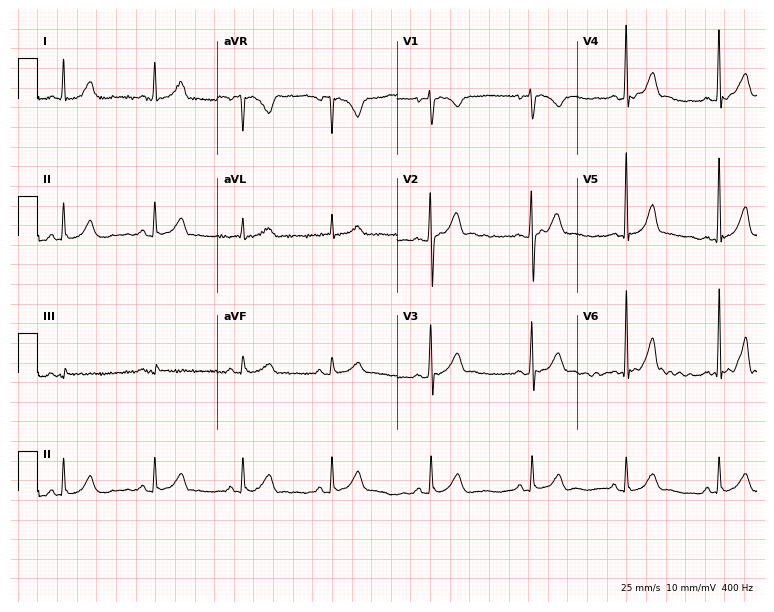
ECG — a 20-year-old man. Labelled as a normal ECG.